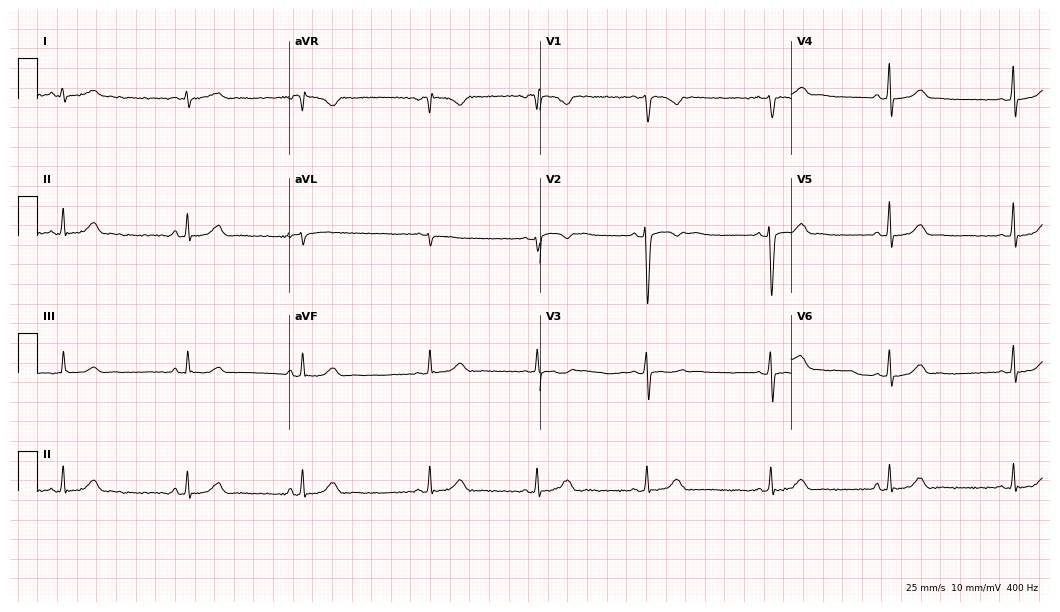
ECG (10.2-second recording at 400 Hz) — a woman, 19 years old. Labelled as a normal ECG.